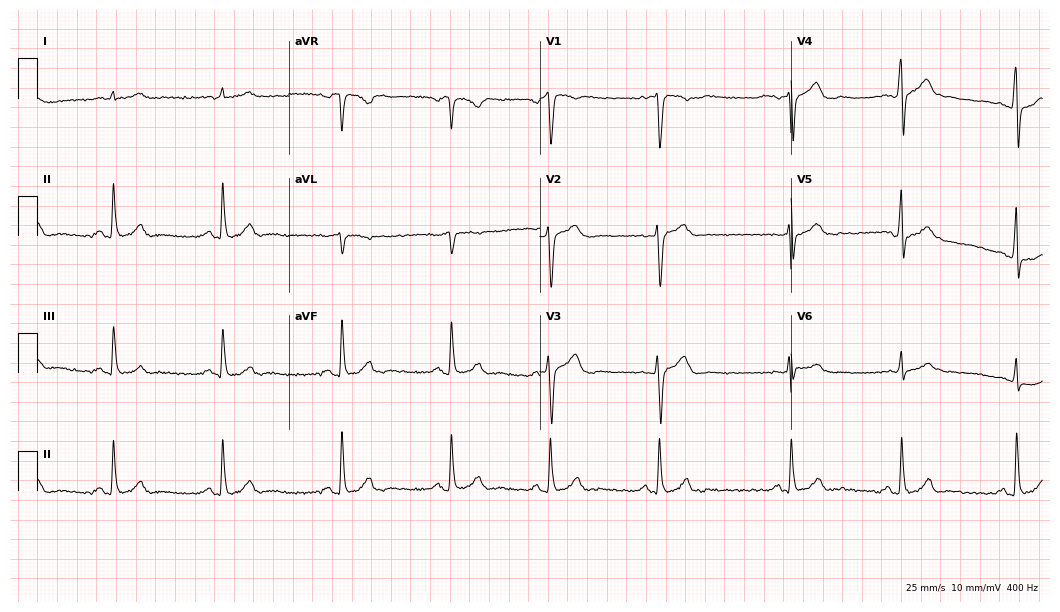
Resting 12-lead electrocardiogram. Patient: a male, 32 years old. None of these six findings is recorded: first-degree AV block, right bundle branch block (RBBB), left bundle branch block (LBBB), sinus bradycardia, atrial fibrillation (AF), sinus tachycardia. Findings outside these six are not listed.